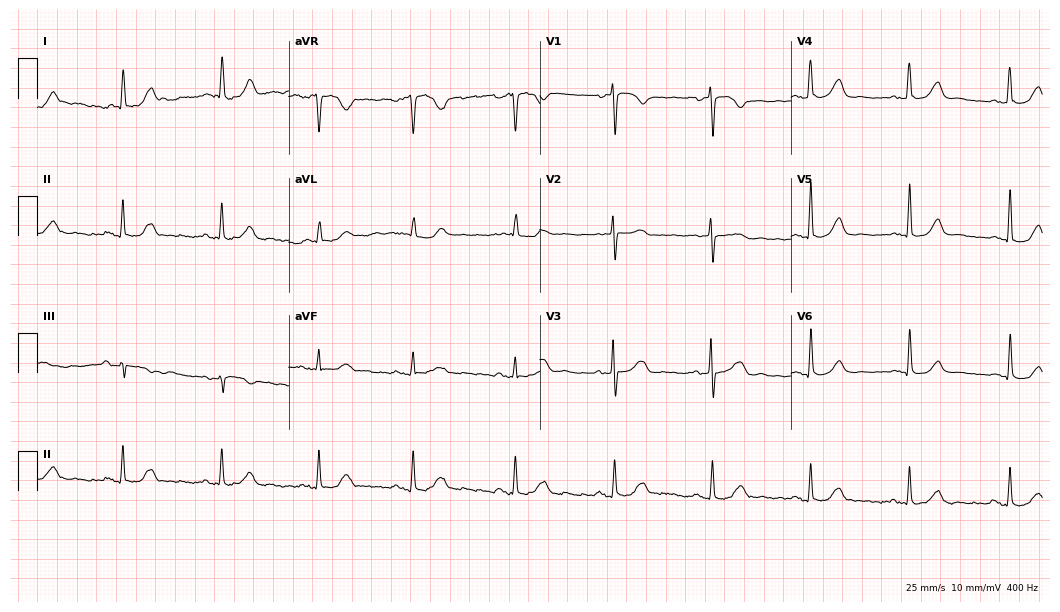
12-lead ECG from an 80-year-old female patient. Recorded interpretation: within normal limits.